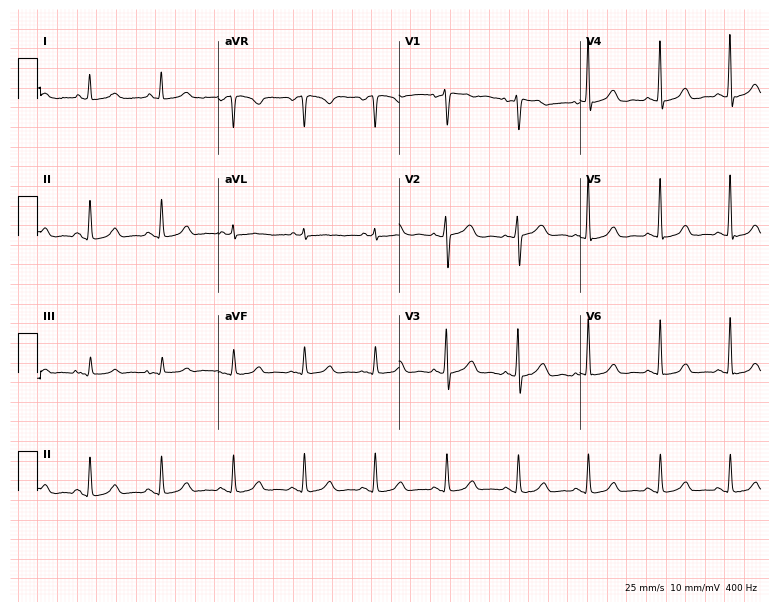
Resting 12-lead electrocardiogram. Patient: a 59-year-old woman. None of these six findings is recorded: first-degree AV block, right bundle branch block, left bundle branch block, sinus bradycardia, atrial fibrillation, sinus tachycardia. Only these six findings were labelled.